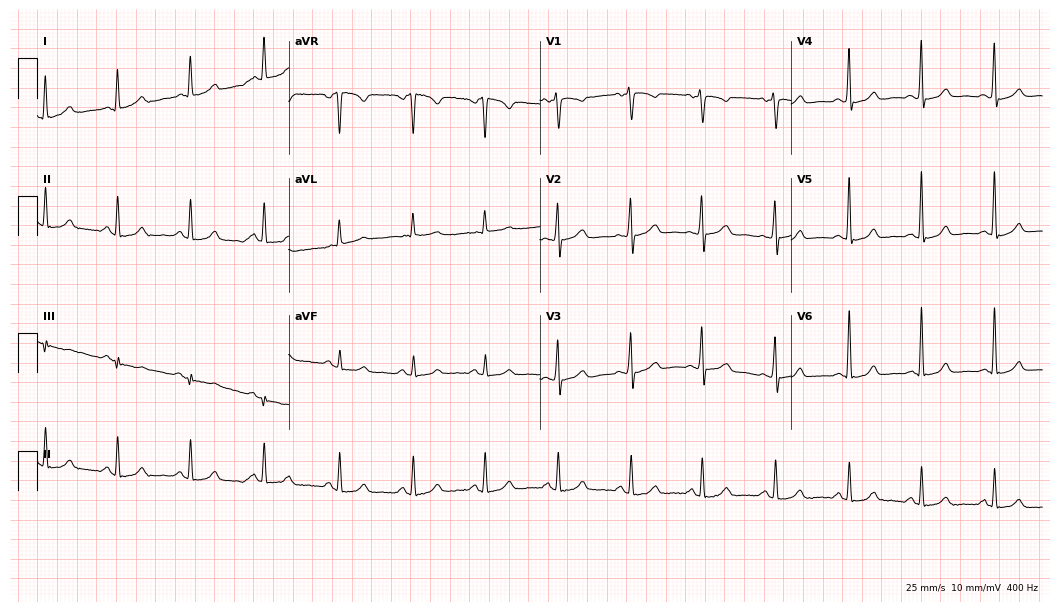
12-lead ECG from a 58-year-old female patient. Labelled as a normal ECG.